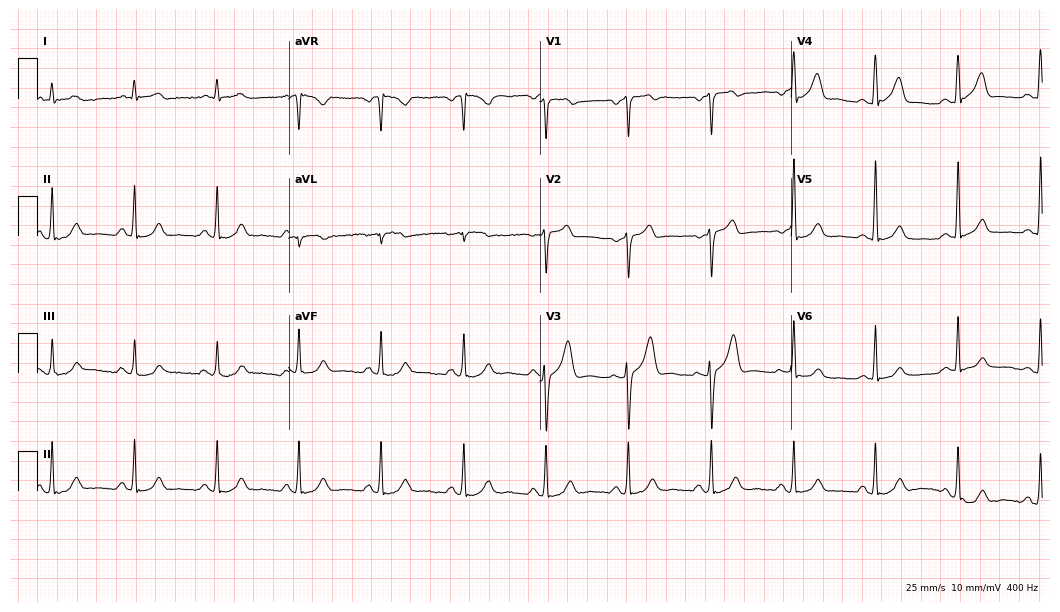
ECG (10.2-second recording at 400 Hz) — a 62-year-old man. Labelled as a normal ECG.